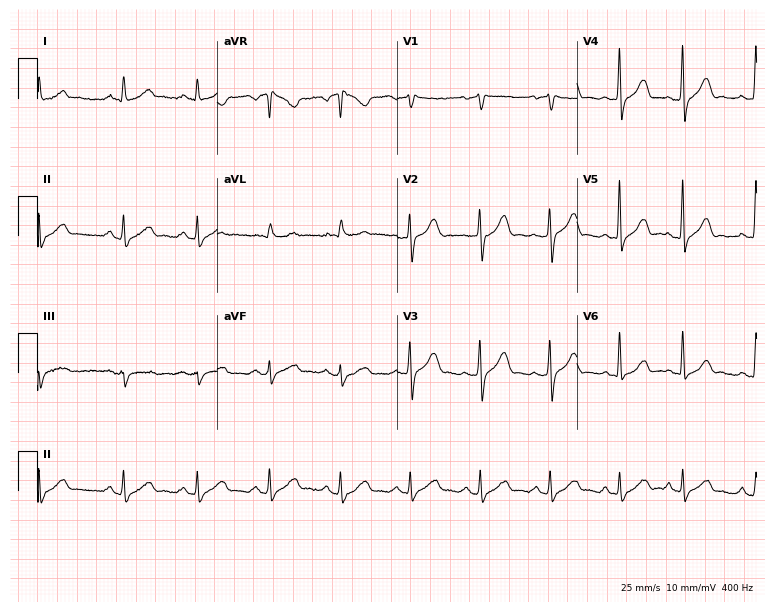
Electrocardiogram, a male patient, 44 years old. Overall reading on record: normal ECG.